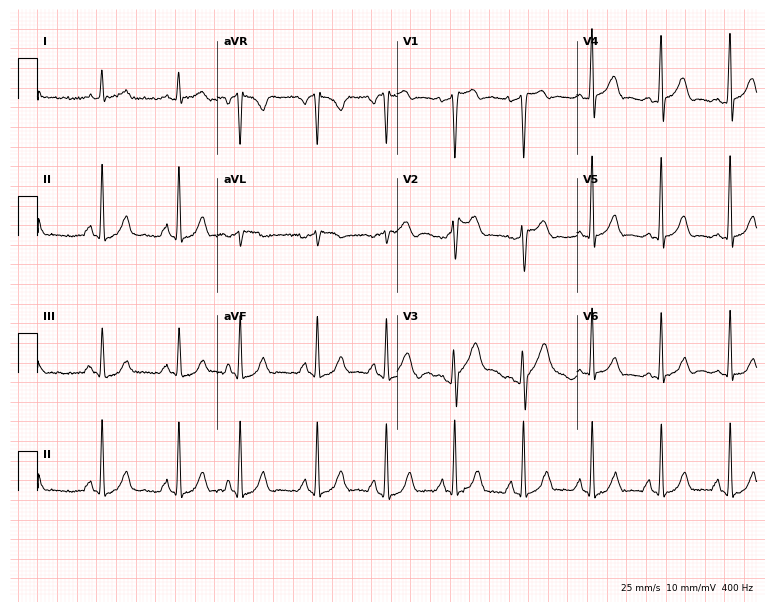
12-lead ECG from a 51-year-old man. No first-degree AV block, right bundle branch block, left bundle branch block, sinus bradycardia, atrial fibrillation or sinus tachycardia recorded for this tracing. Only these six findings were labelled.